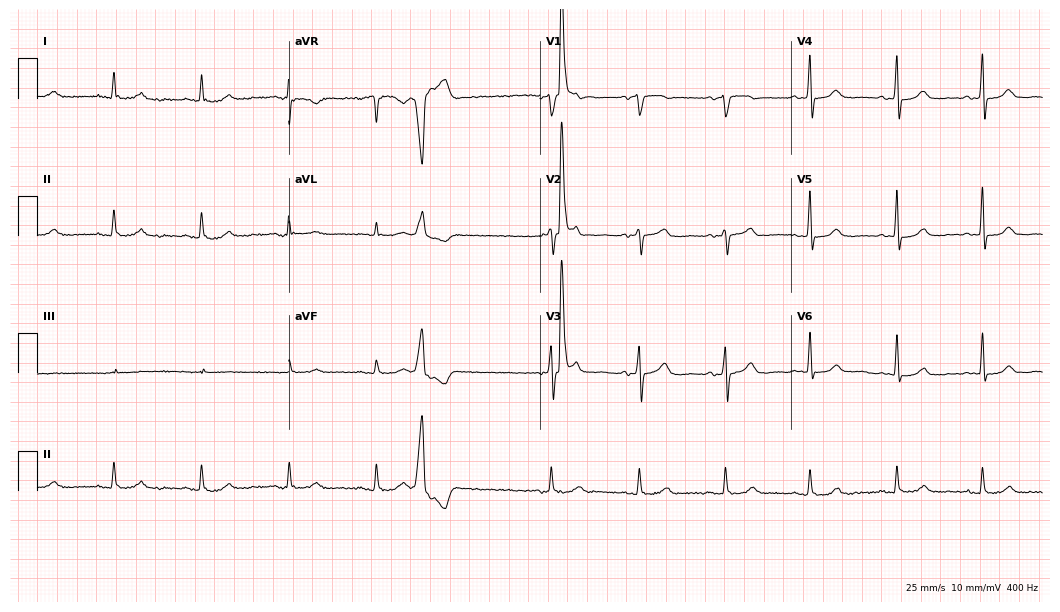
Standard 12-lead ECG recorded from a male patient, 83 years old. None of these six findings is recorded: first-degree AV block, right bundle branch block, left bundle branch block, sinus bradycardia, atrial fibrillation, sinus tachycardia. Only these six findings were labelled.